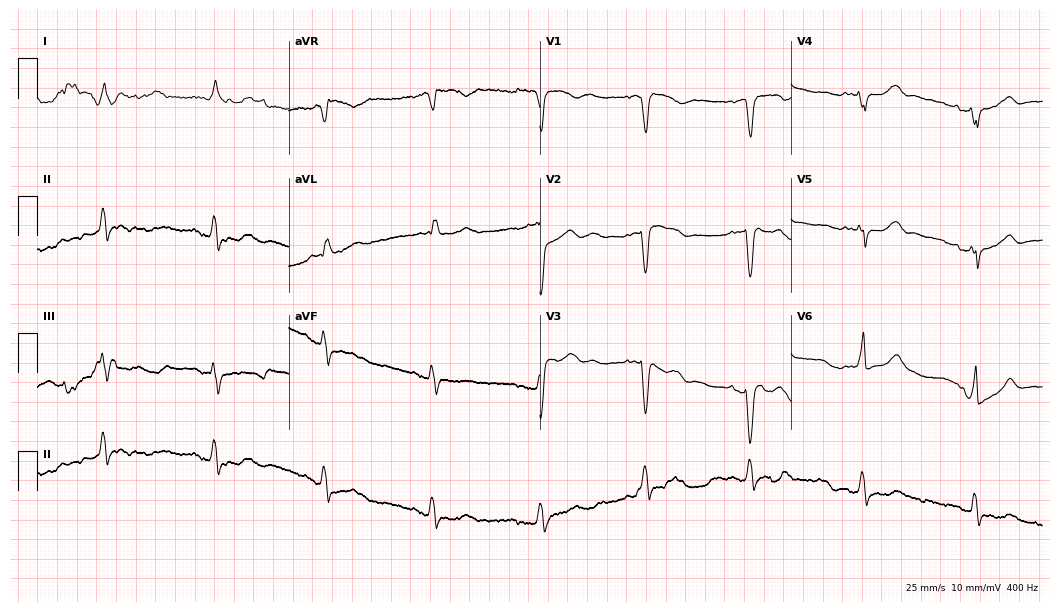
12-lead ECG (10.2-second recording at 400 Hz) from a female patient, 71 years old. Screened for six findings — first-degree AV block, right bundle branch block (RBBB), left bundle branch block (LBBB), sinus bradycardia, atrial fibrillation (AF), sinus tachycardia — none is recorded. Findings outside these six are not listed.